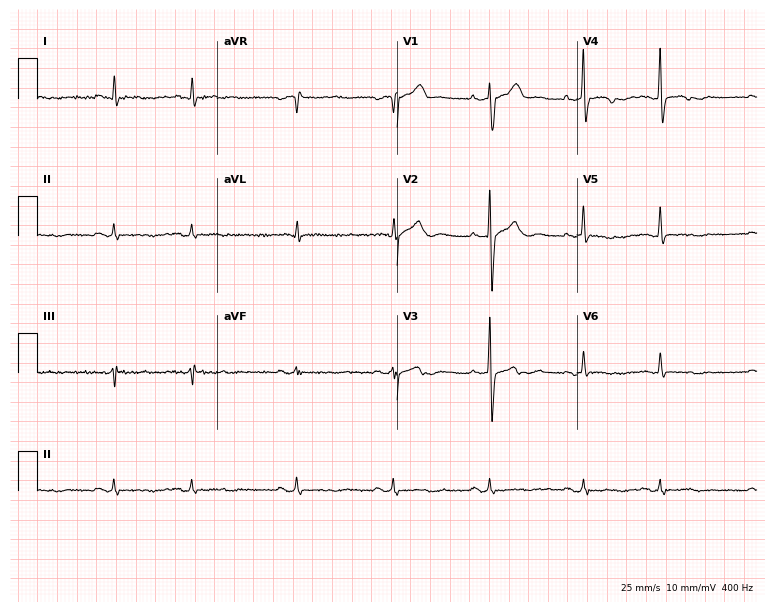
ECG (7.3-second recording at 400 Hz) — a man, 80 years old. Screened for six findings — first-degree AV block, right bundle branch block, left bundle branch block, sinus bradycardia, atrial fibrillation, sinus tachycardia — none is recorded. Only these six findings were labelled.